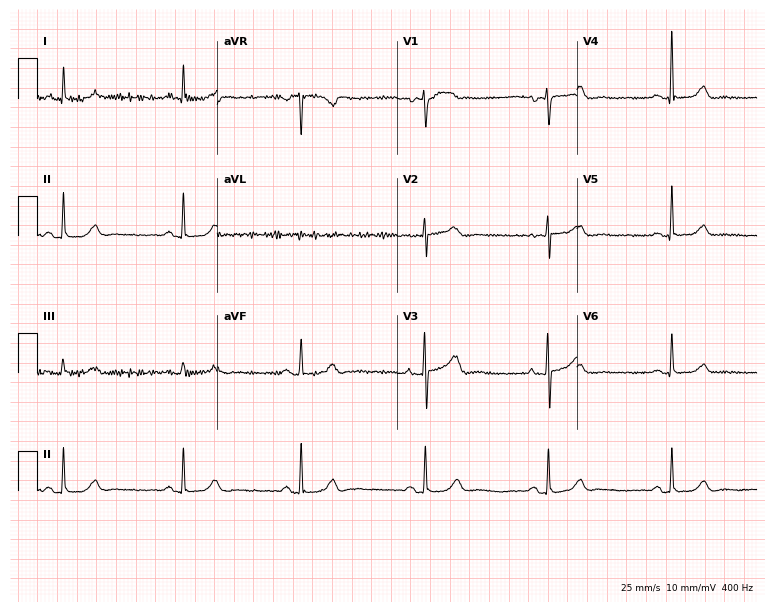
Resting 12-lead electrocardiogram. Patient: a 62-year-old female. The tracing shows sinus bradycardia (a sinus rate of 50 beats per minute or less).